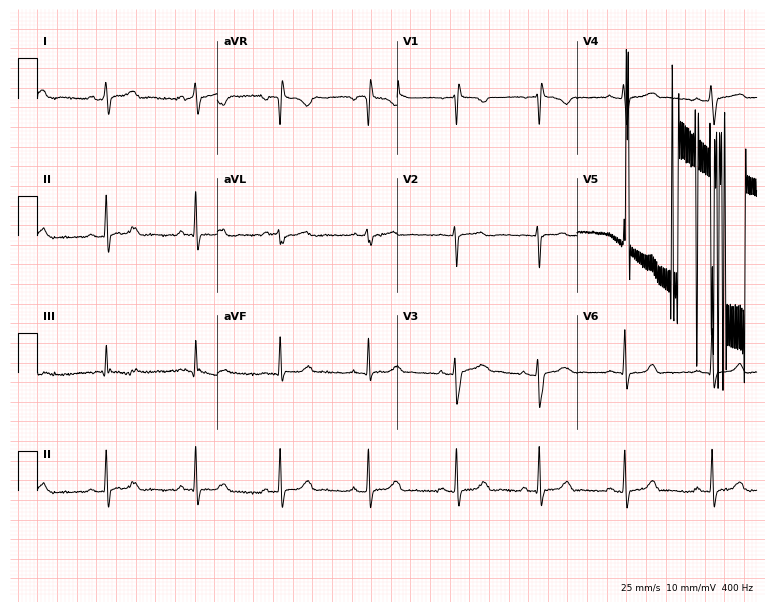
ECG — a 24-year-old female. Labelled as a normal ECG.